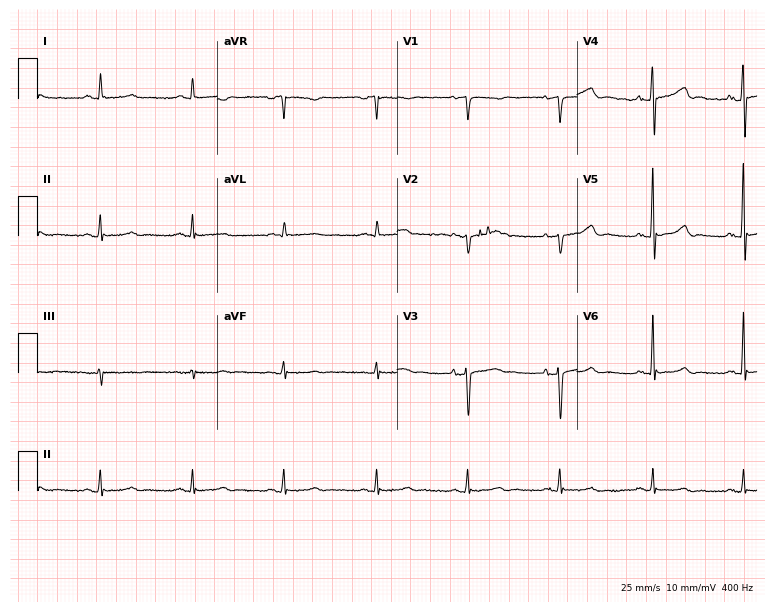
Resting 12-lead electrocardiogram (7.3-second recording at 400 Hz). Patient: a female, 70 years old. None of these six findings is recorded: first-degree AV block, right bundle branch block (RBBB), left bundle branch block (LBBB), sinus bradycardia, atrial fibrillation (AF), sinus tachycardia.